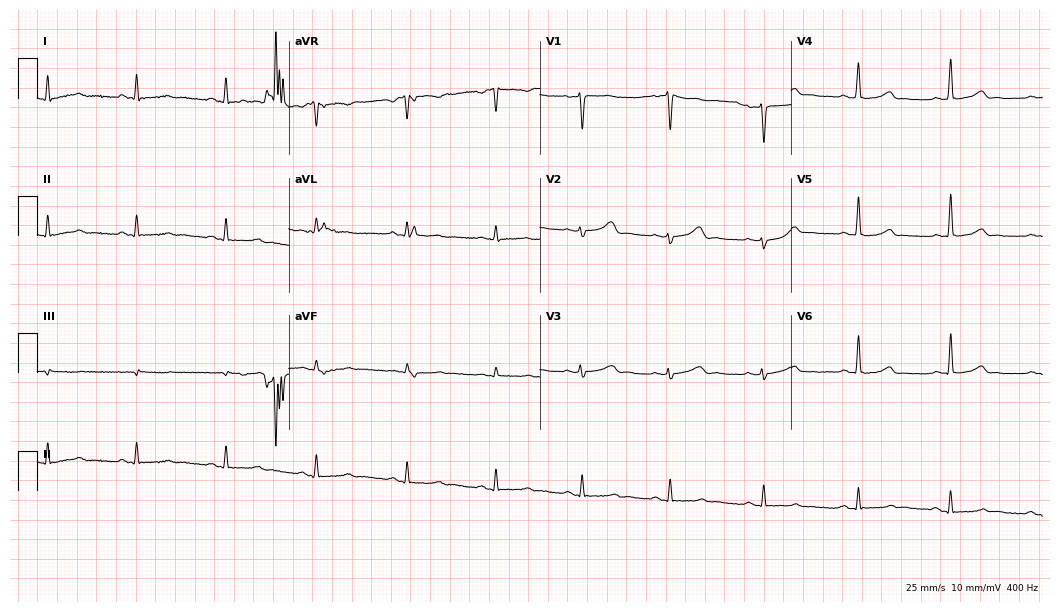
12-lead ECG (10.2-second recording at 400 Hz) from a 41-year-old female patient. Labelled as a normal ECG.